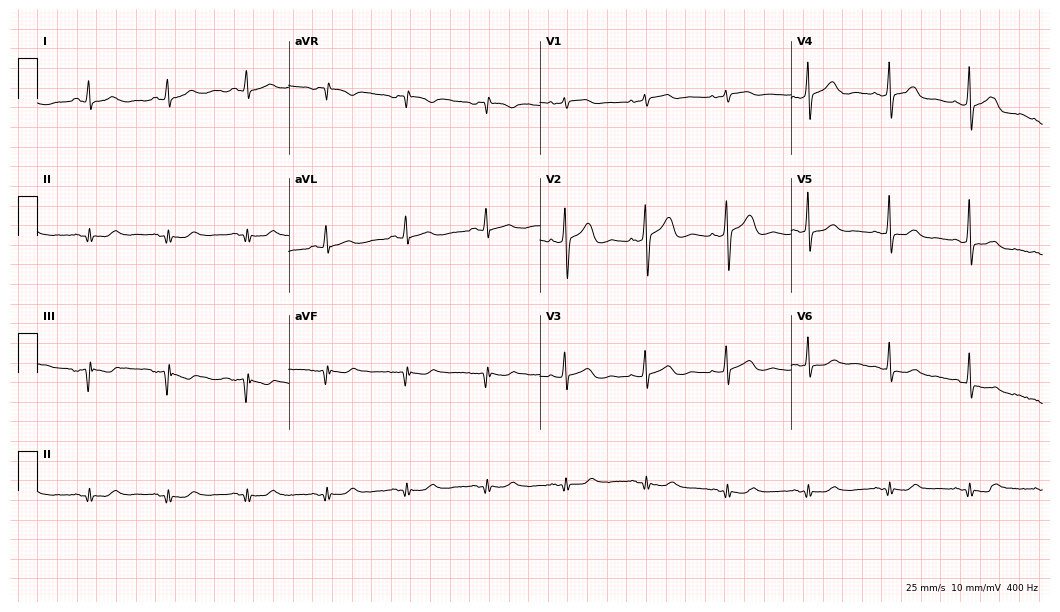
Standard 12-lead ECG recorded from a male, 49 years old. None of these six findings is recorded: first-degree AV block, right bundle branch block (RBBB), left bundle branch block (LBBB), sinus bradycardia, atrial fibrillation (AF), sinus tachycardia.